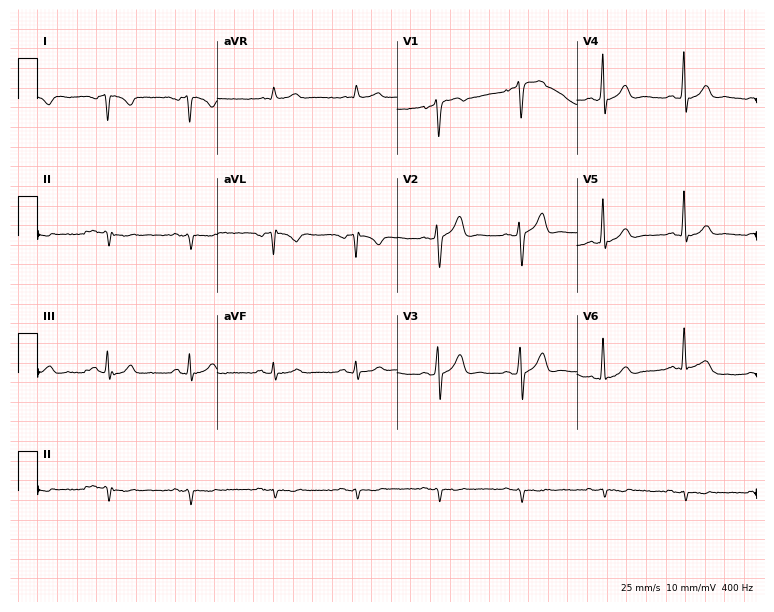
Electrocardiogram (7.3-second recording at 400 Hz), a male, 51 years old. Of the six screened findings (first-degree AV block, right bundle branch block, left bundle branch block, sinus bradycardia, atrial fibrillation, sinus tachycardia), none is recorded. Findings outside these six are not listed.